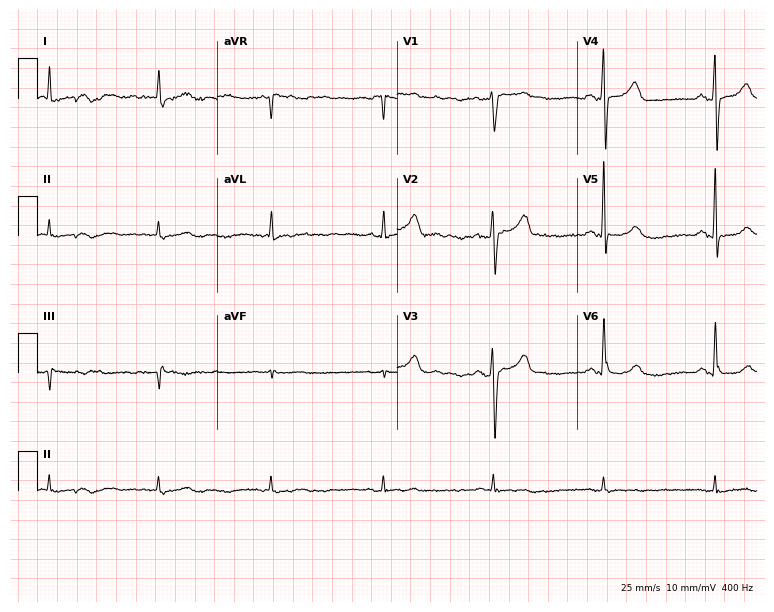
Resting 12-lead electrocardiogram. Patient: a female, 71 years old. None of these six findings is recorded: first-degree AV block, right bundle branch block, left bundle branch block, sinus bradycardia, atrial fibrillation, sinus tachycardia. Findings outside these six are not listed.